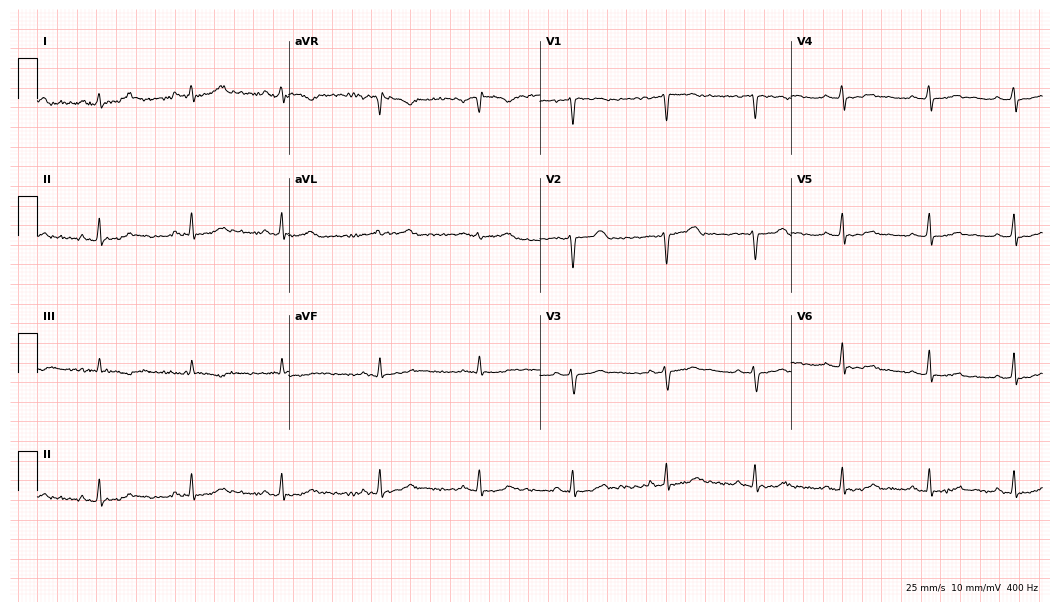
ECG — a 41-year-old female patient. Labelled as a normal ECG.